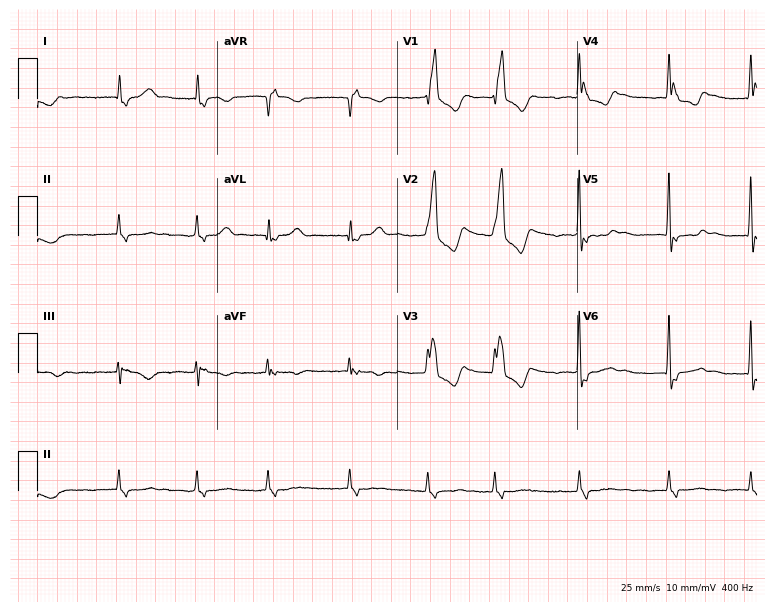
Standard 12-lead ECG recorded from an 83-year-old male patient. The tracing shows right bundle branch block, atrial fibrillation.